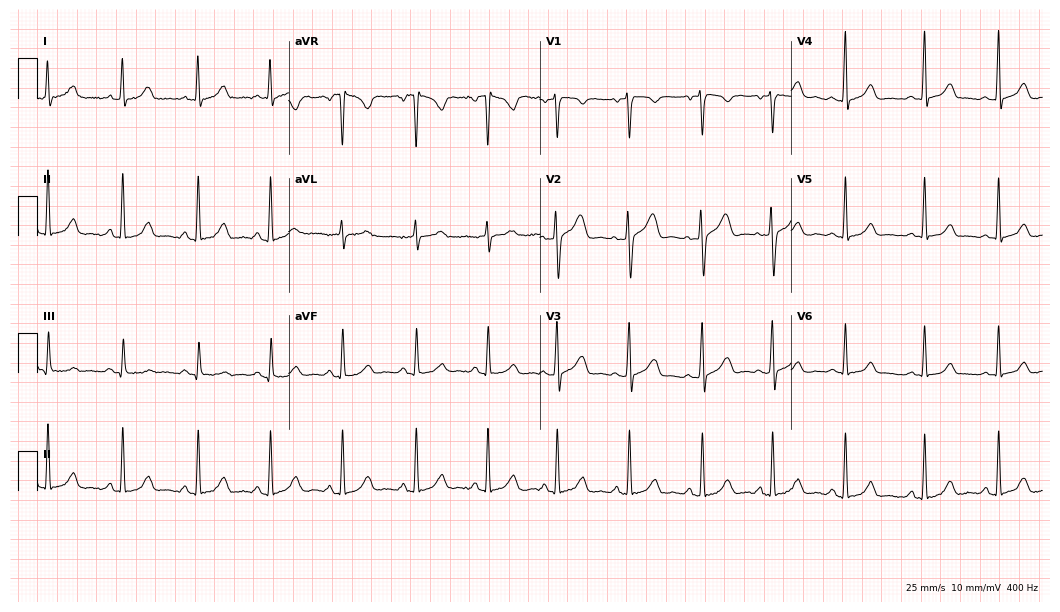
Standard 12-lead ECG recorded from a 26-year-old female (10.2-second recording at 400 Hz). Read as a normal ECG.